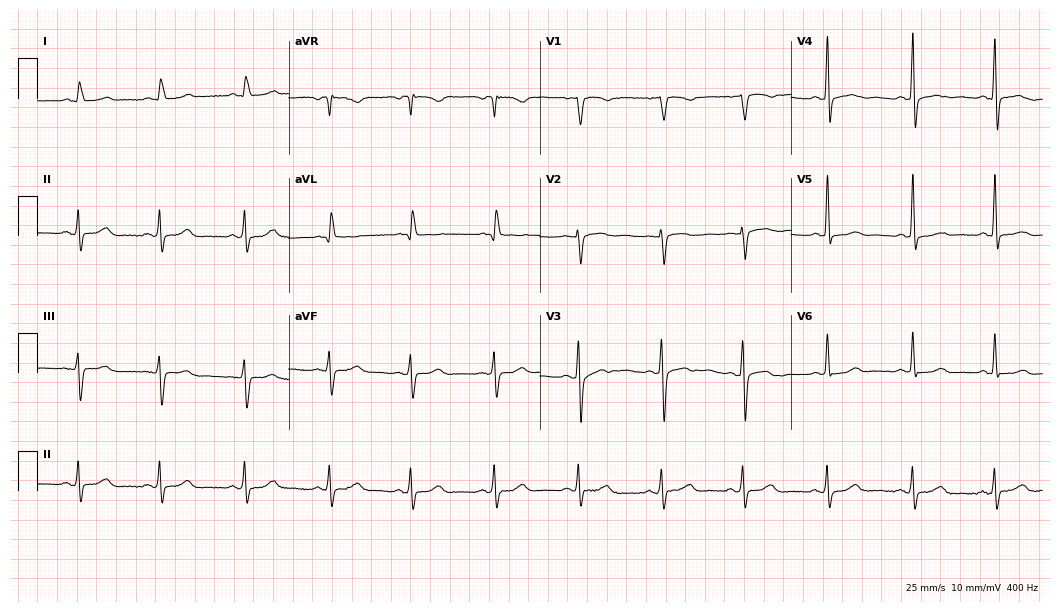
ECG (10.2-second recording at 400 Hz) — a woman, 82 years old. Labelled as a normal ECG.